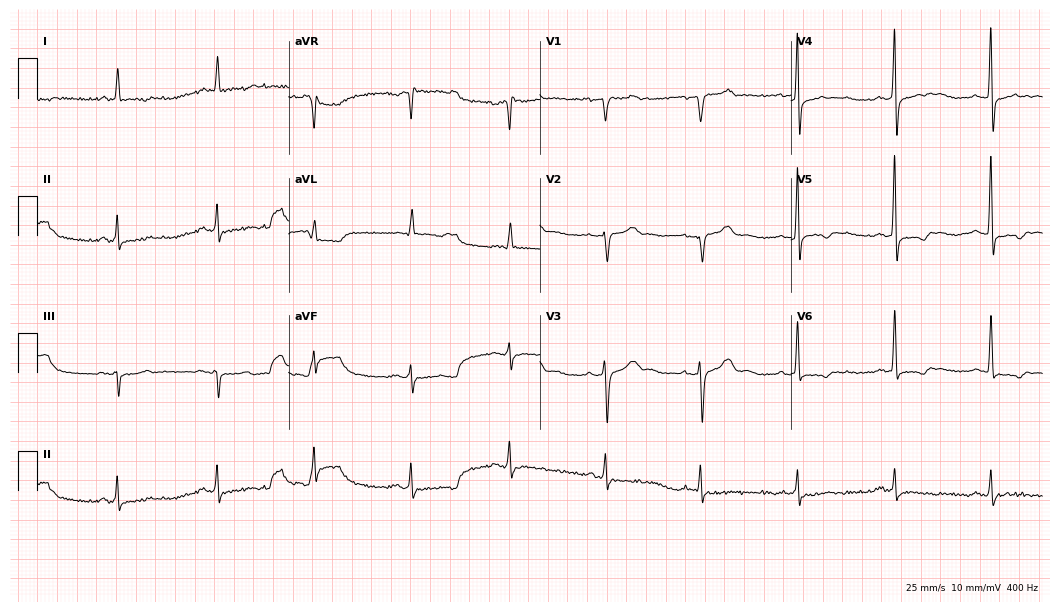
12-lead ECG (10.2-second recording at 400 Hz) from a man, 62 years old. Screened for six findings — first-degree AV block, right bundle branch block, left bundle branch block, sinus bradycardia, atrial fibrillation, sinus tachycardia — none is recorded.